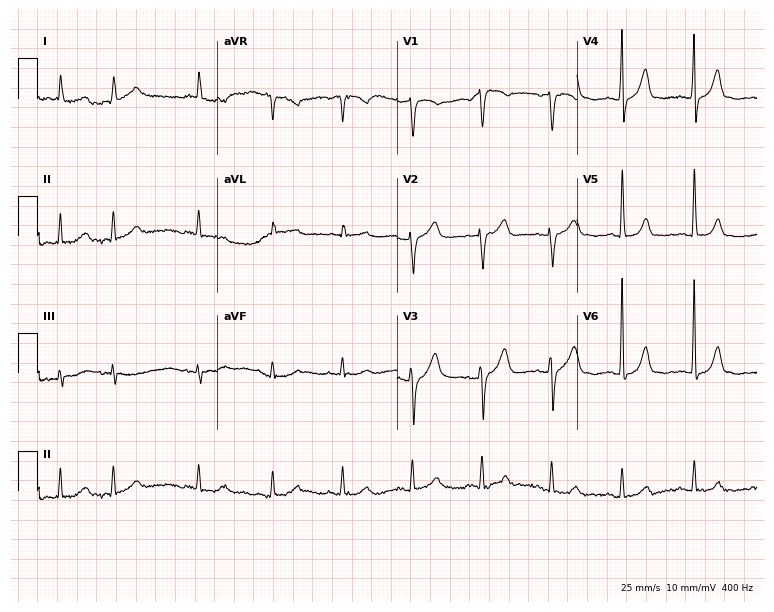
Resting 12-lead electrocardiogram. Patient: a 68-year-old man. None of these six findings is recorded: first-degree AV block, right bundle branch block, left bundle branch block, sinus bradycardia, atrial fibrillation, sinus tachycardia. Only these six findings were labelled.